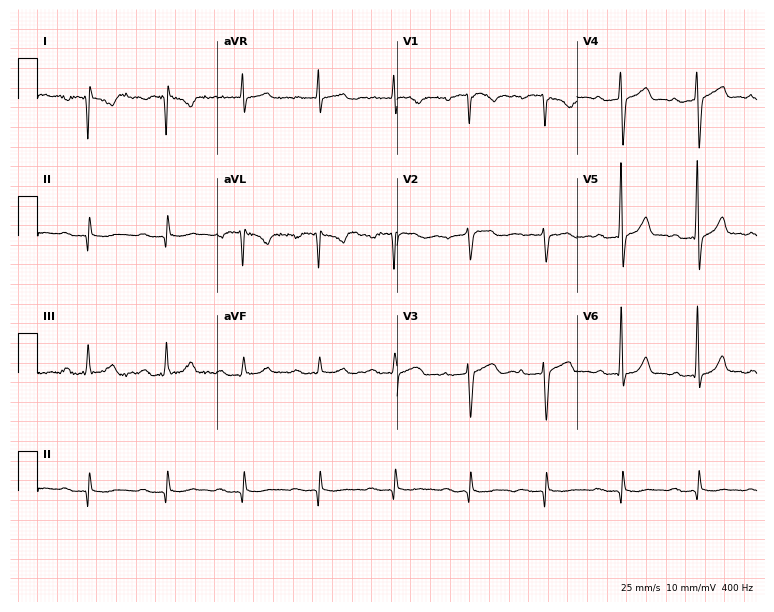
12-lead ECG (7.3-second recording at 400 Hz) from a 71-year-old man. Screened for six findings — first-degree AV block, right bundle branch block, left bundle branch block, sinus bradycardia, atrial fibrillation, sinus tachycardia — none is recorded. Findings outside these six are not listed.